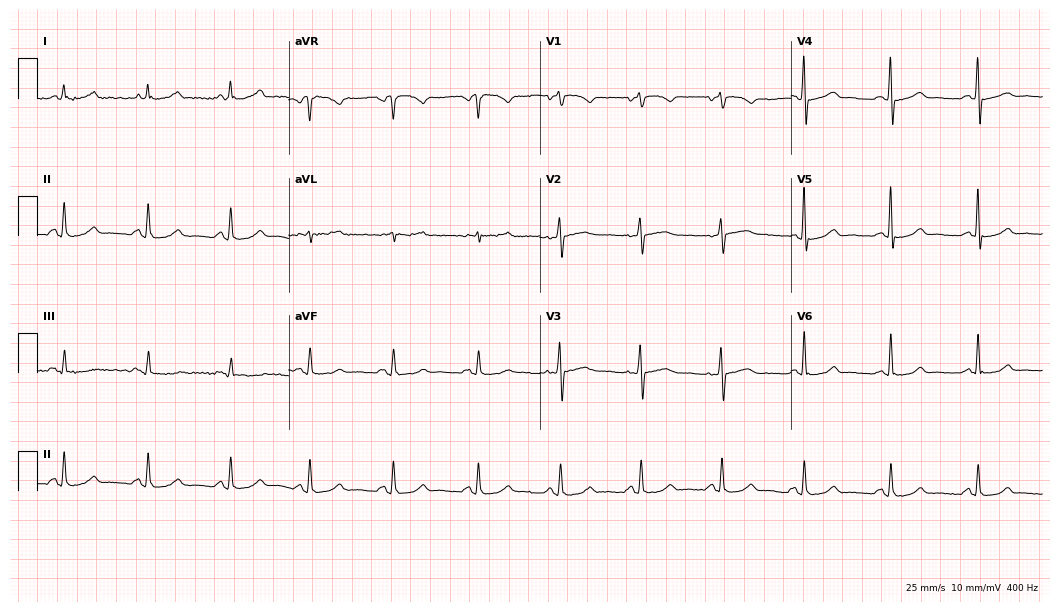
12-lead ECG from a 63-year-old female. Recorded interpretation: within normal limits.